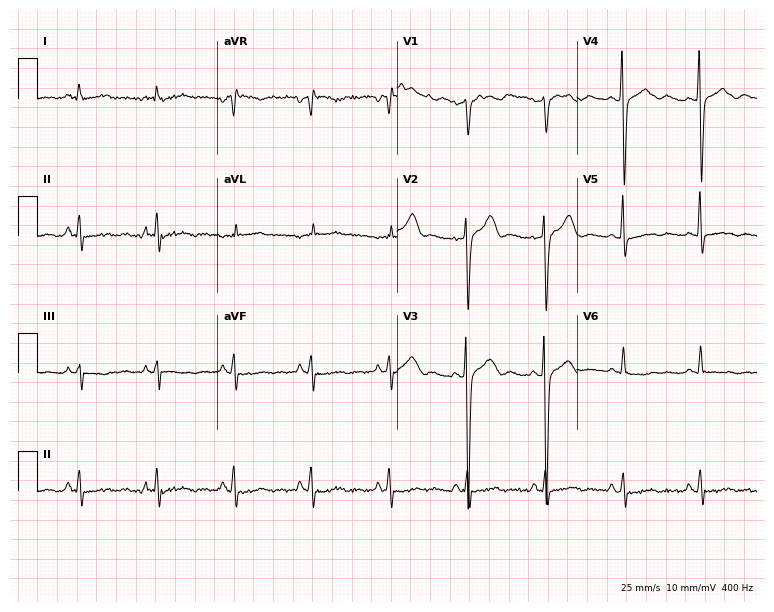
Standard 12-lead ECG recorded from a 56-year-old man. None of these six findings is recorded: first-degree AV block, right bundle branch block, left bundle branch block, sinus bradycardia, atrial fibrillation, sinus tachycardia.